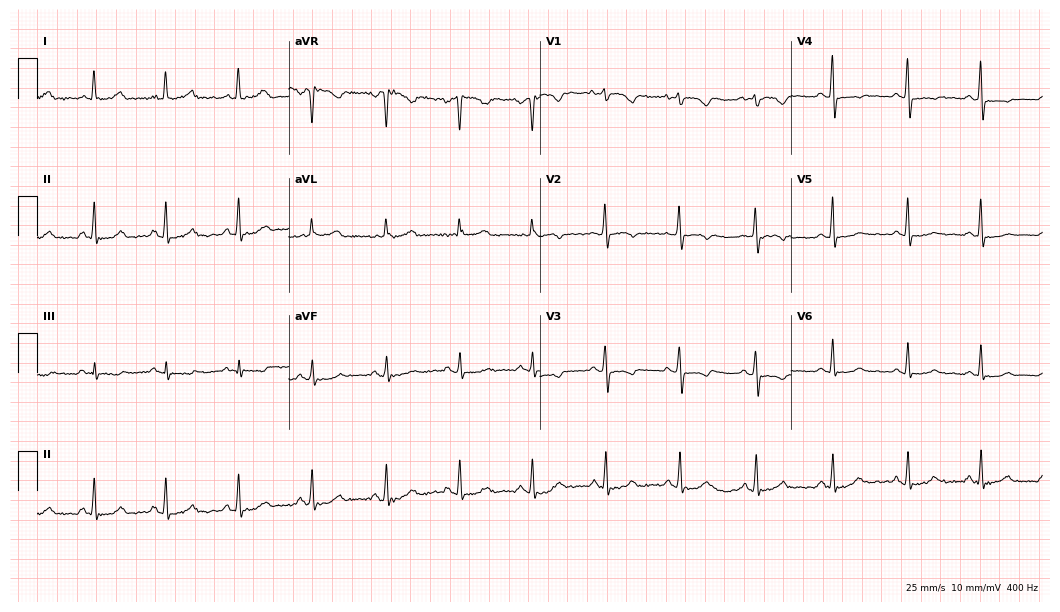
12-lead ECG from a 48-year-old woman. Screened for six findings — first-degree AV block, right bundle branch block, left bundle branch block, sinus bradycardia, atrial fibrillation, sinus tachycardia — none is recorded. Other findings, if any, are not listed.